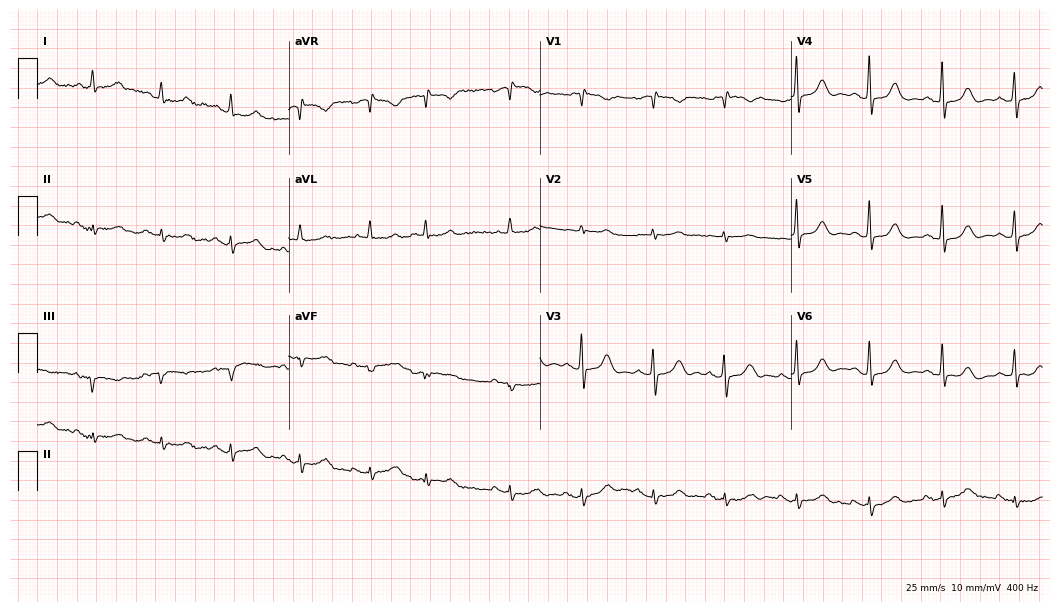
12-lead ECG from an 85-year-old woman. No first-degree AV block, right bundle branch block, left bundle branch block, sinus bradycardia, atrial fibrillation or sinus tachycardia recorded for this tracing.